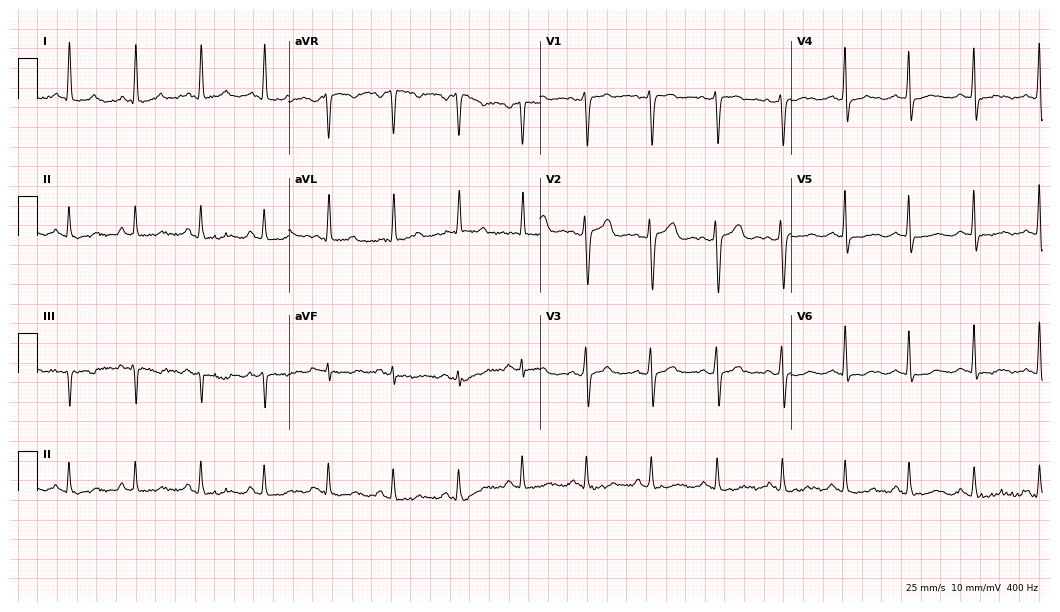
12-lead ECG from a 35-year-old female patient. Screened for six findings — first-degree AV block, right bundle branch block, left bundle branch block, sinus bradycardia, atrial fibrillation, sinus tachycardia — none is recorded. Other findings, if any, are not listed.